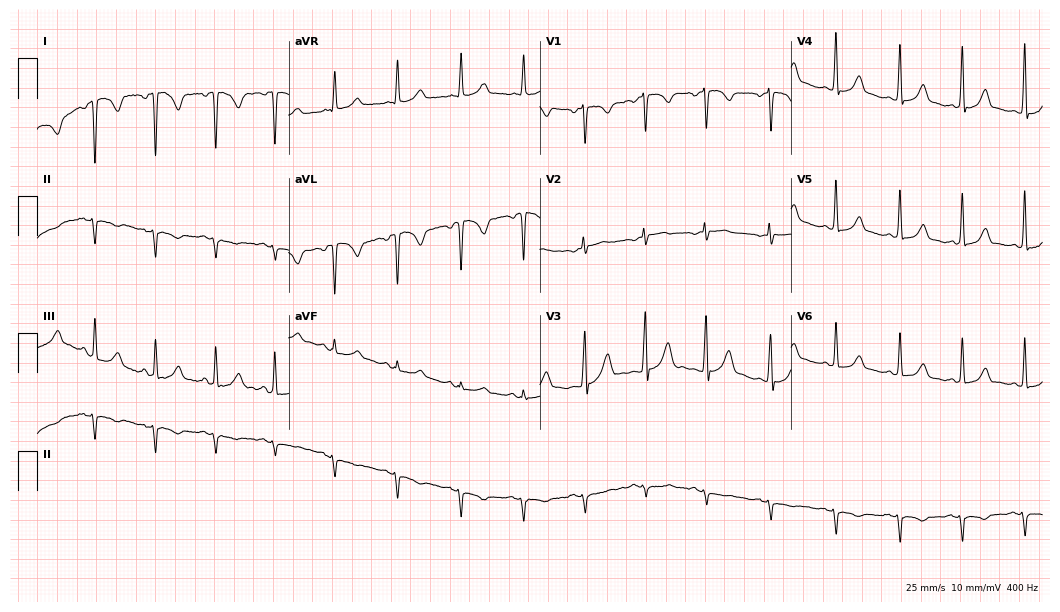
12-lead ECG from a male, 19 years old. Screened for six findings — first-degree AV block, right bundle branch block, left bundle branch block, sinus bradycardia, atrial fibrillation, sinus tachycardia — none is recorded.